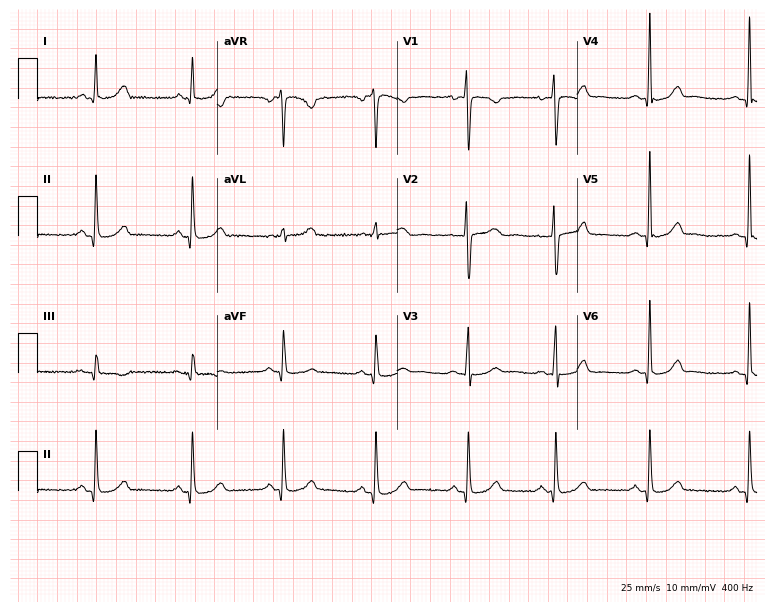
Resting 12-lead electrocardiogram (7.3-second recording at 400 Hz). Patient: a 26-year-old woman. Read as a normal ECG.